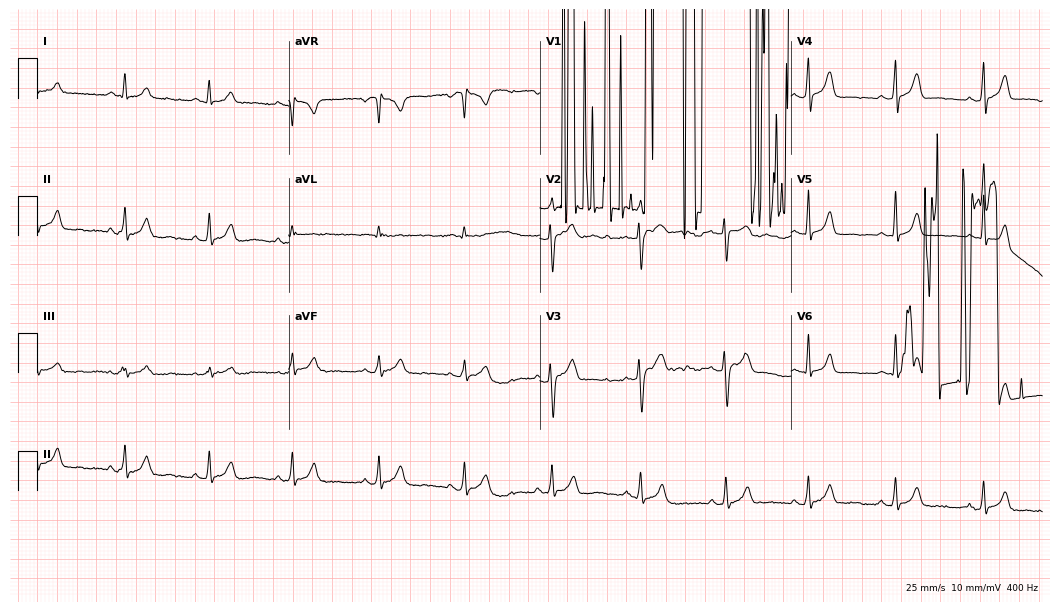
Electrocardiogram, a female patient, 26 years old. Of the six screened findings (first-degree AV block, right bundle branch block, left bundle branch block, sinus bradycardia, atrial fibrillation, sinus tachycardia), none is recorded.